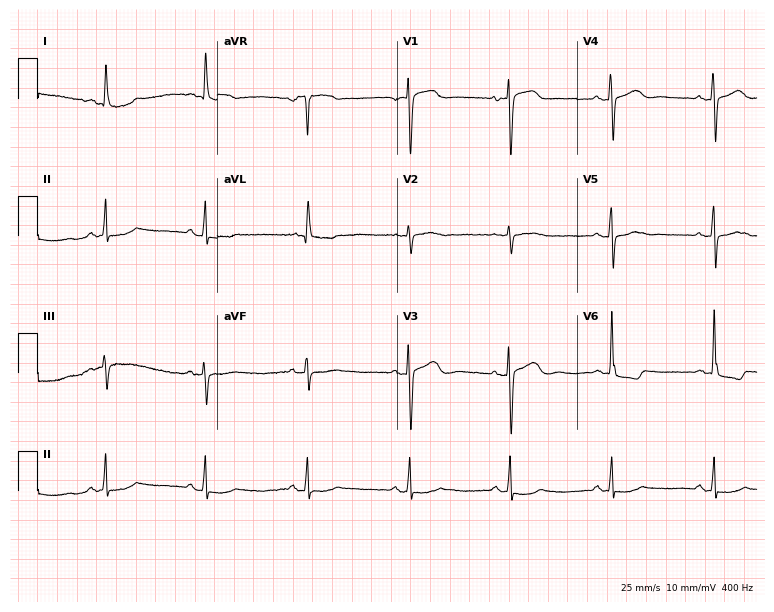
Resting 12-lead electrocardiogram. Patient: a 78-year-old female. None of these six findings is recorded: first-degree AV block, right bundle branch block, left bundle branch block, sinus bradycardia, atrial fibrillation, sinus tachycardia.